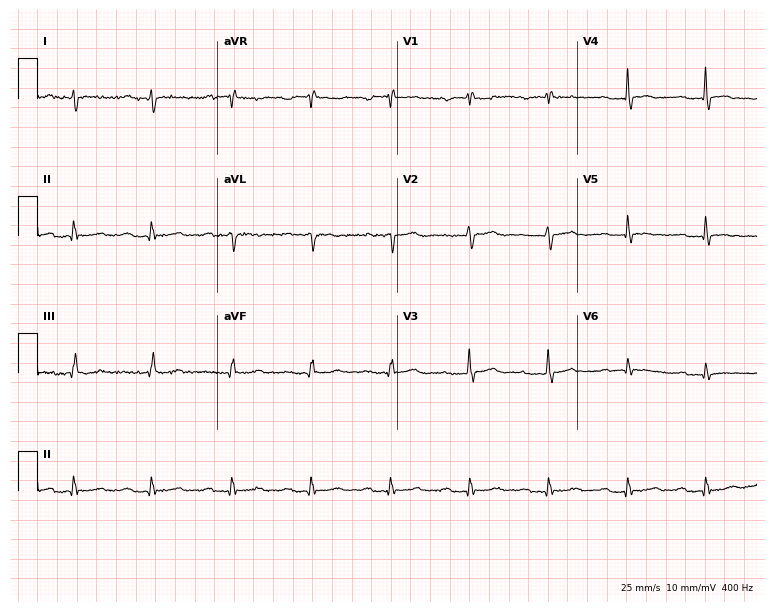
Standard 12-lead ECG recorded from a 72-year-old man (7.3-second recording at 400 Hz). The tracing shows first-degree AV block.